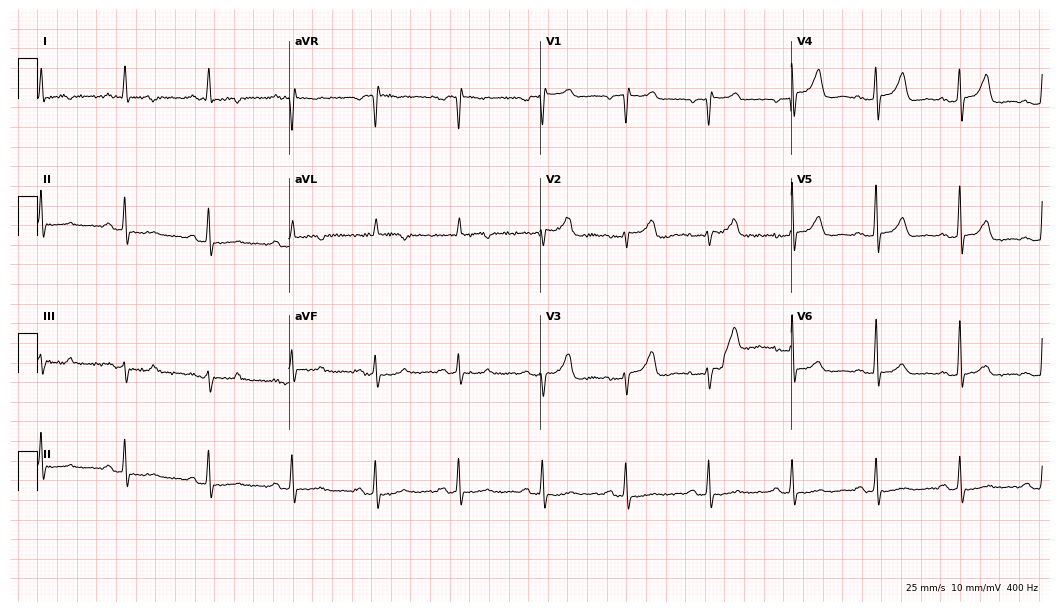
12-lead ECG from a female patient, 68 years old. No first-degree AV block, right bundle branch block, left bundle branch block, sinus bradycardia, atrial fibrillation or sinus tachycardia recorded for this tracing. Findings outside these six are not listed.